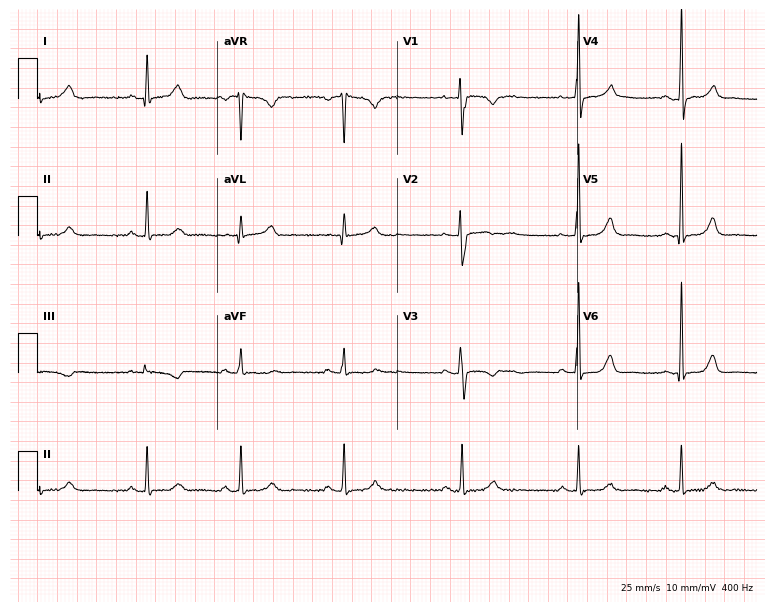
Standard 12-lead ECG recorded from a 27-year-old female. None of these six findings is recorded: first-degree AV block, right bundle branch block (RBBB), left bundle branch block (LBBB), sinus bradycardia, atrial fibrillation (AF), sinus tachycardia. Findings outside these six are not listed.